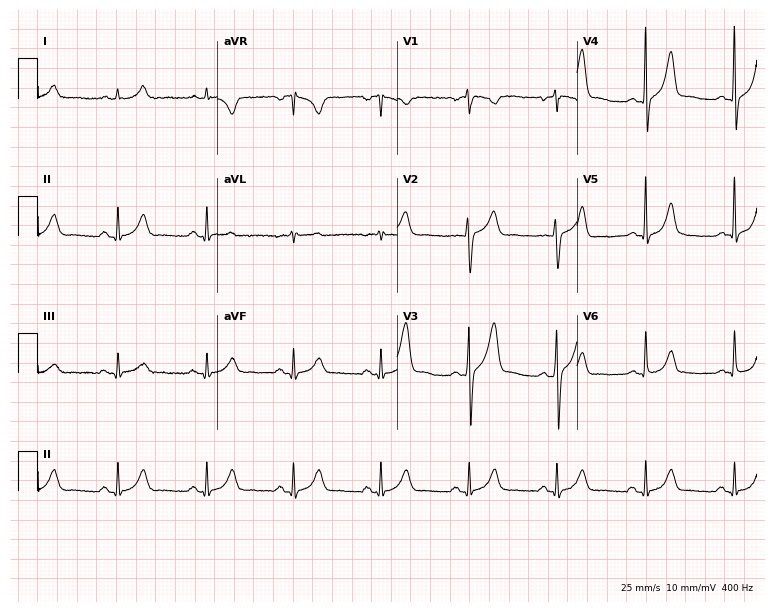
12-lead ECG from a male patient, 50 years old (7.3-second recording at 400 Hz). Recorded interpretation: within normal limits.